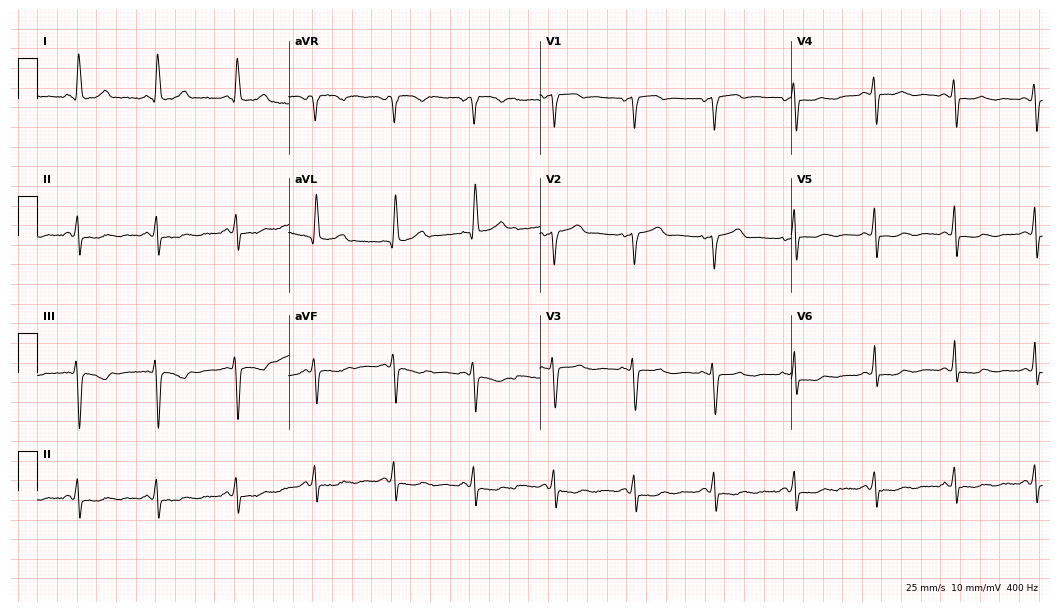
Standard 12-lead ECG recorded from a female, 54 years old. None of these six findings is recorded: first-degree AV block, right bundle branch block, left bundle branch block, sinus bradycardia, atrial fibrillation, sinus tachycardia.